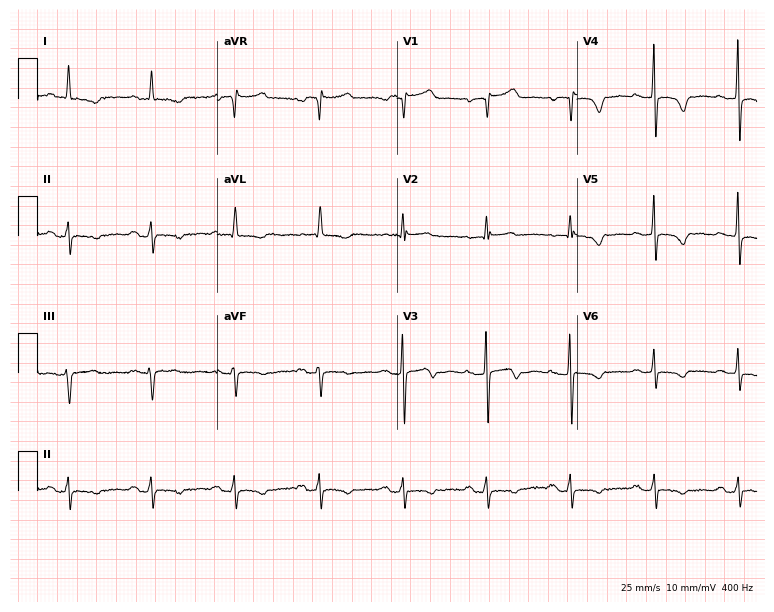
Standard 12-lead ECG recorded from a 79-year-old female. None of these six findings is recorded: first-degree AV block, right bundle branch block, left bundle branch block, sinus bradycardia, atrial fibrillation, sinus tachycardia. Findings outside these six are not listed.